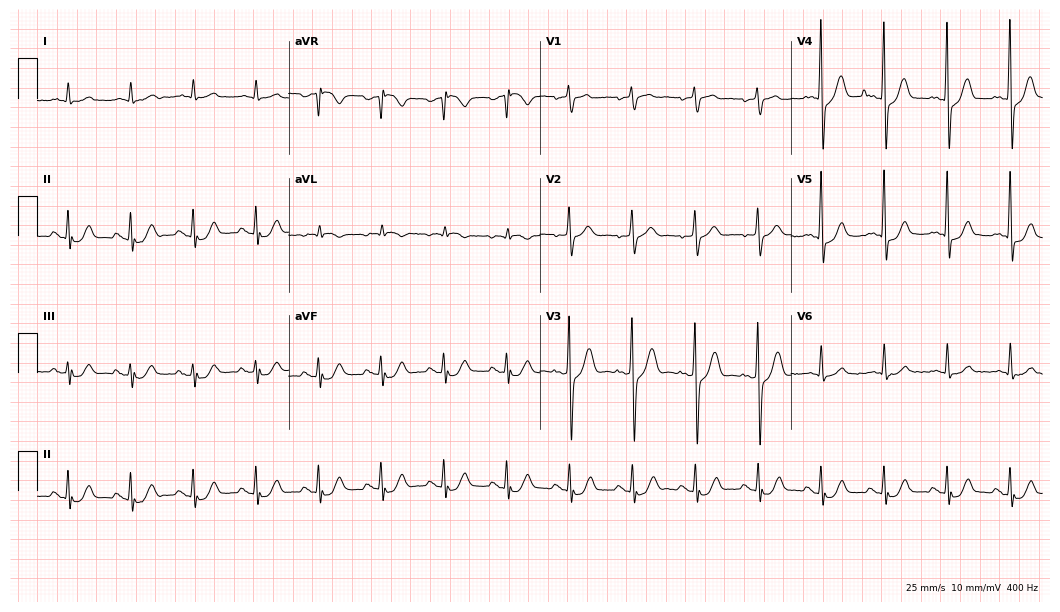
Electrocardiogram, a 79-year-old man. Of the six screened findings (first-degree AV block, right bundle branch block (RBBB), left bundle branch block (LBBB), sinus bradycardia, atrial fibrillation (AF), sinus tachycardia), none is recorded. Findings outside these six are not listed.